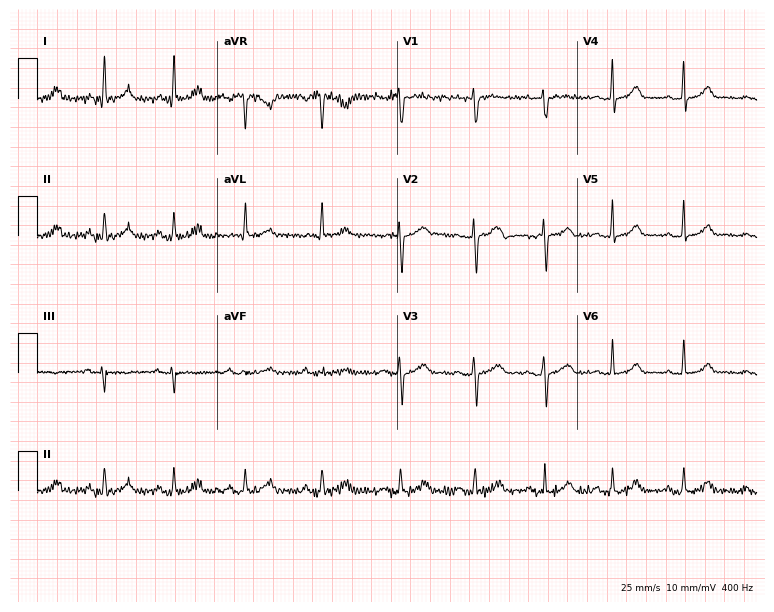
Electrocardiogram, a 31-year-old female. Overall reading on record: normal ECG.